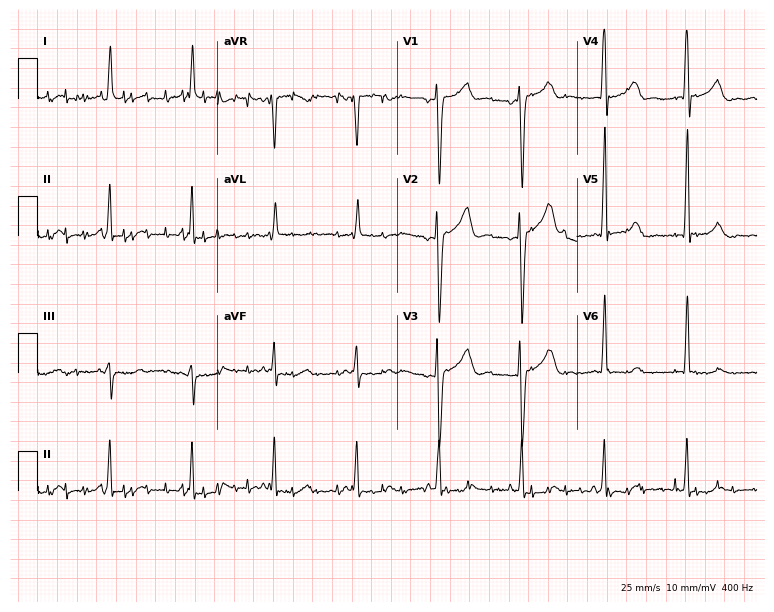
12-lead ECG from a male, 79 years old. Screened for six findings — first-degree AV block, right bundle branch block, left bundle branch block, sinus bradycardia, atrial fibrillation, sinus tachycardia — none is recorded.